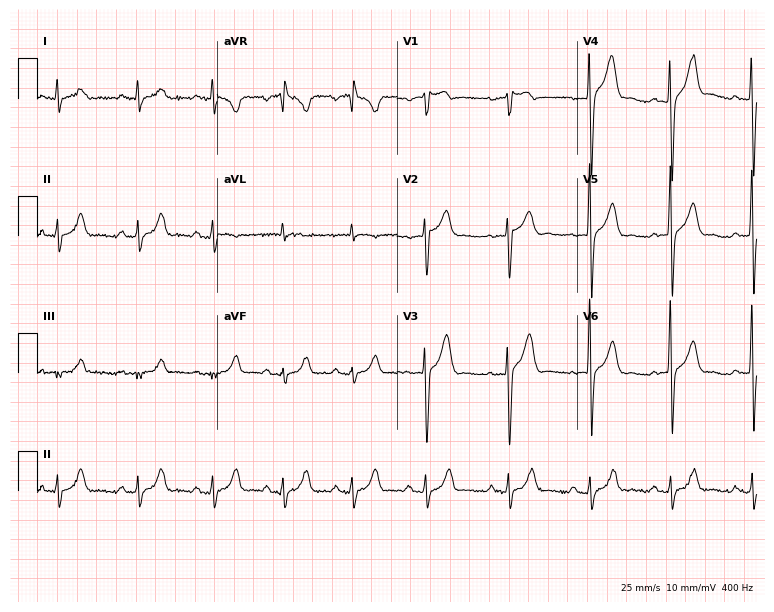
12-lead ECG from a male patient, 42 years old (7.3-second recording at 400 Hz). Recorded interpretation: within normal limits.